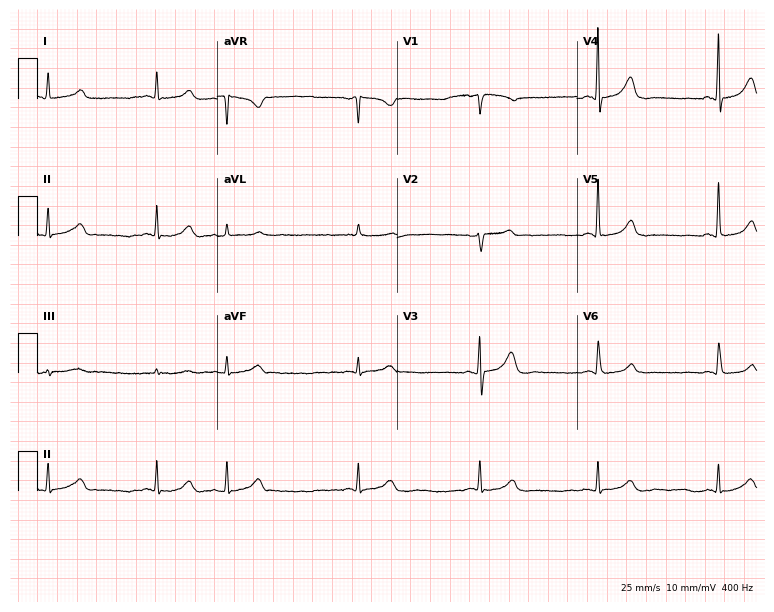
12-lead ECG (7.3-second recording at 400 Hz) from a female, 76 years old. Labelled as a normal ECG.